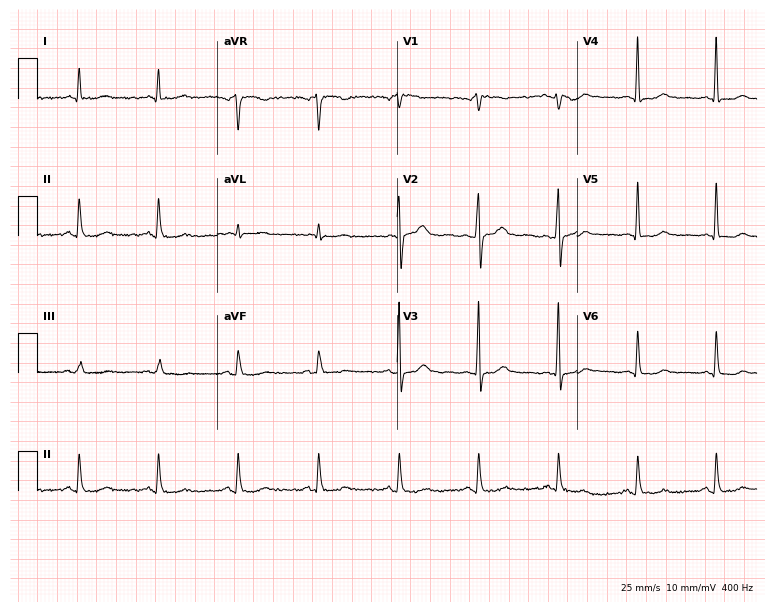
Resting 12-lead electrocardiogram (7.3-second recording at 400 Hz). Patient: a 40-year-old woman. None of these six findings is recorded: first-degree AV block, right bundle branch block, left bundle branch block, sinus bradycardia, atrial fibrillation, sinus tachycardia.